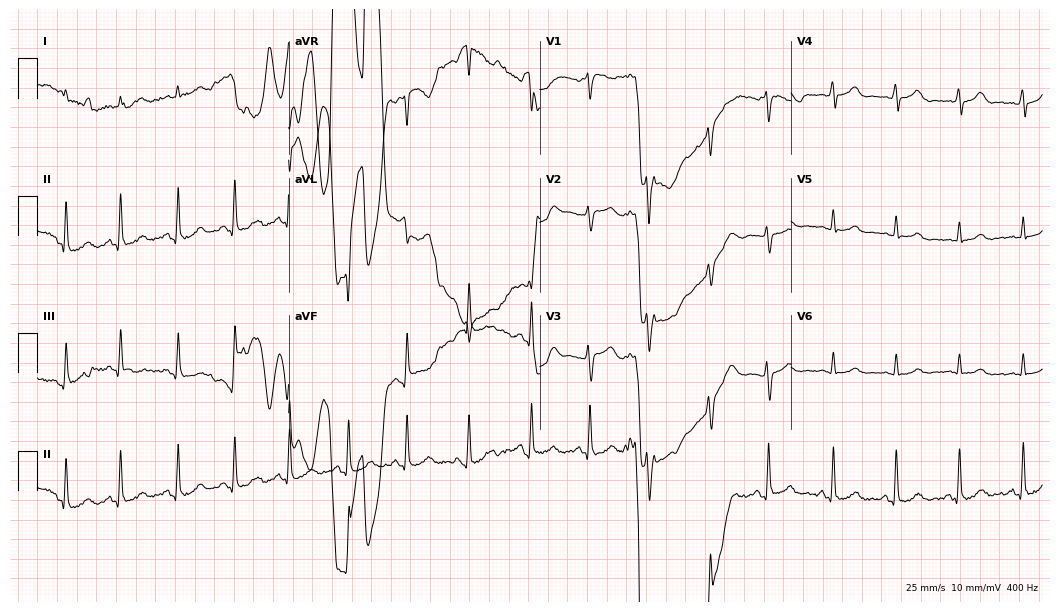
Standard 12-lead ECG recorded from a 28-year-old female patient. None of these six findings is recorded: first-degree AV block, right bundle branch block (RBBB), left bundle branch block (LBBB), sinus bradycardia, atrial fibrillation (AF), sinus tachycardia.